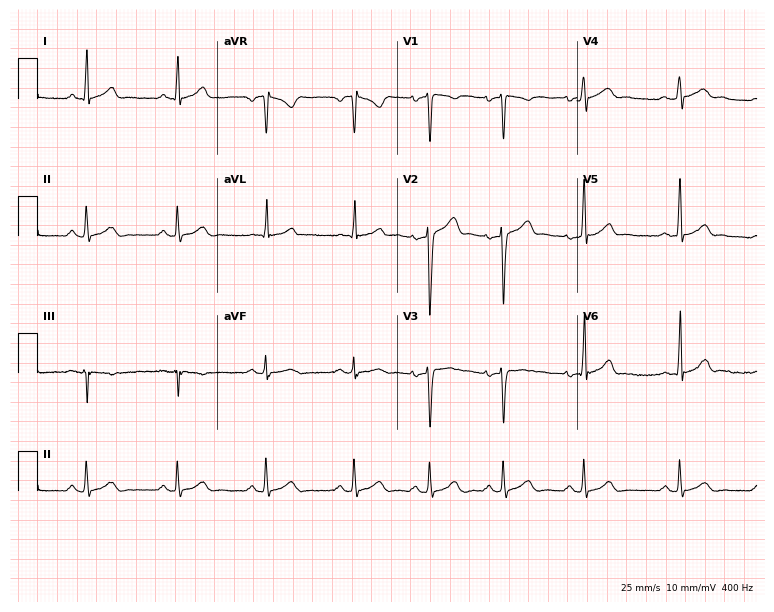
ECG — a male patient, 22 years old. Labelled as a normal ECG.